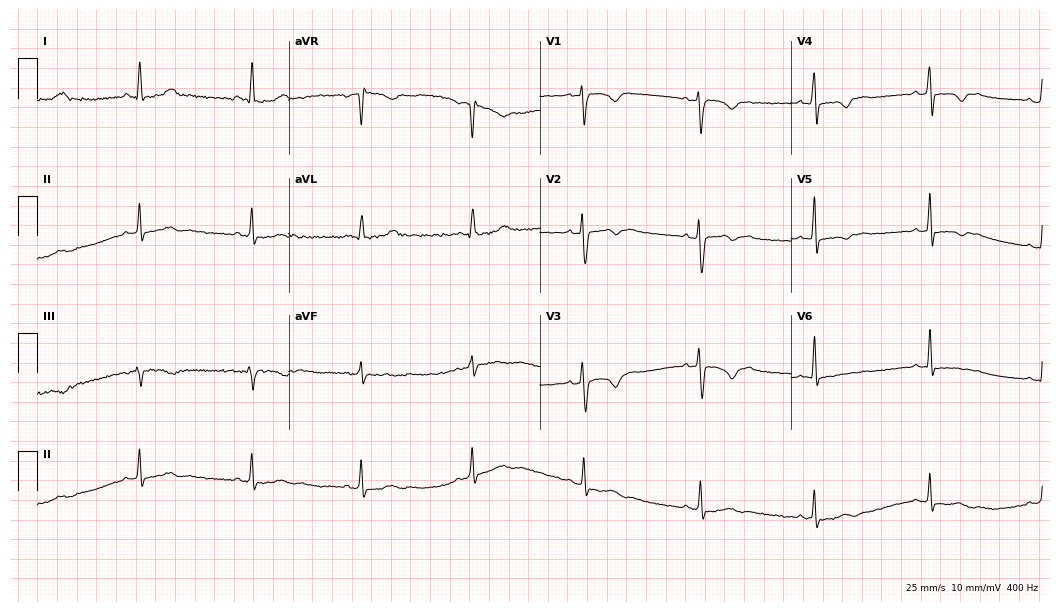
Electrocardiogram (10.2-second recording at 400 Hz), a woman, 25 years old. Of the six screened findings (first-degree AV block, right bundle branch block (RBBB), left bundle branch block (LBBB), sinus bradycardia, atrial fibrillation (AF), sinus tachycardia), none is recorded.